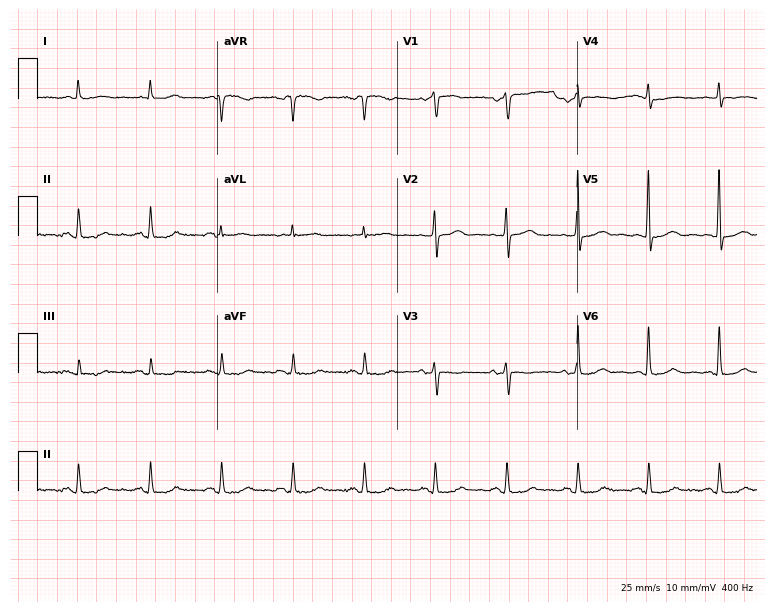
Standard 12-lead ECG recorded from a 57-year-old female patient (7.3-second recording at 400 Hz). None of these six findings is recorded: first-degree AV block, right bundle branch block, left bundle branch block, sinus bradycardia, atrial fibrillation, sinus tachycardia.